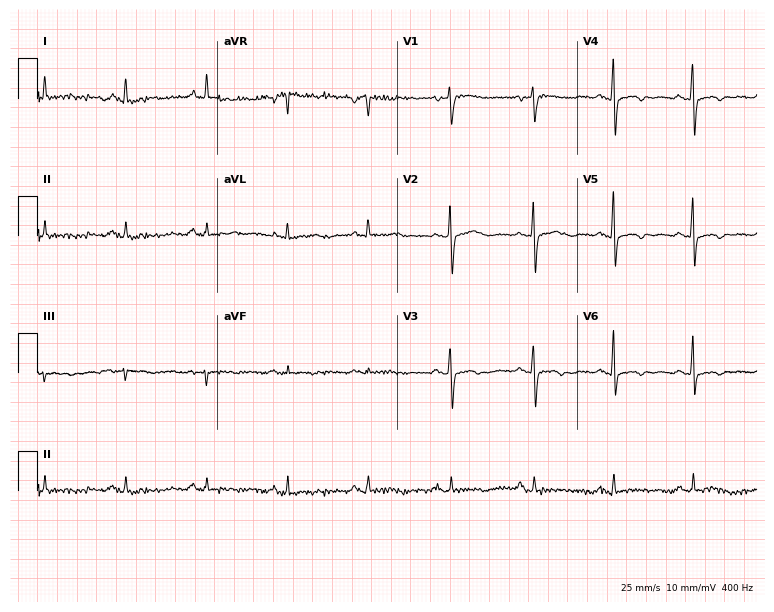
Resting 12-lead electrocardiogram. Patient: a female, 80 years old. None of these six findings is recorded: first-degree AV block, right bundle branch block, left bundle branch block, sinus bradycardia, atrial fibrillation, sinus tachycardia. Only these six findings were labelled.